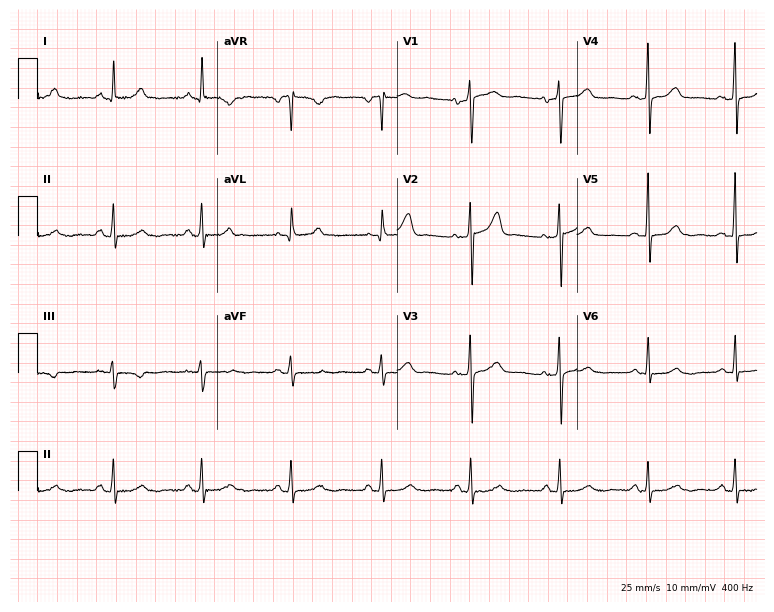
Electrocardiogram (7.3-second recording at 400 Hz), a female, 63 years old. Overall reading on record: normal ECG.